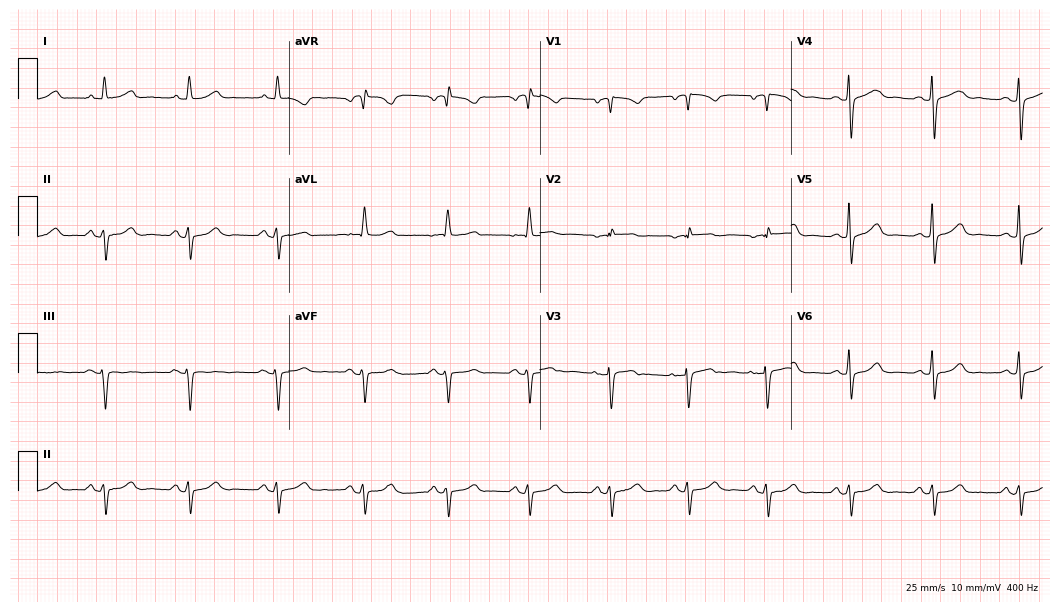
12-lead ECG from a 62-year-old female patient. No first-degree AV block, right bundle branch block, left bundle branch block, sinus bradycardia, atrial fibrillation or sinus tachycardia recorded for this tracing.